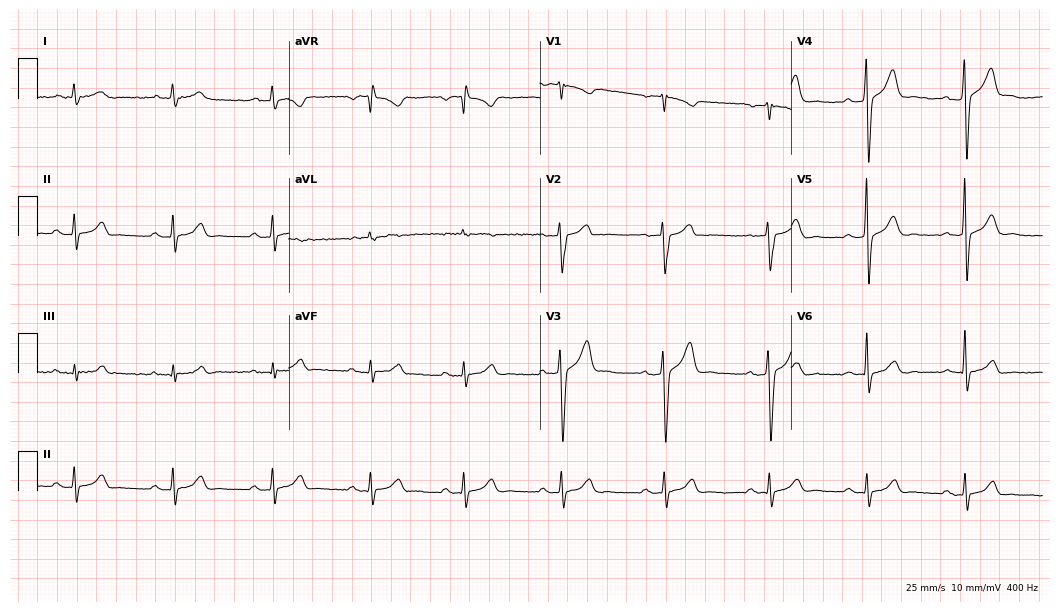
Standard 12-lead ECG recorded from a 45-year-old male patient (10.2-second recording at 400 Hz). Read as a normal ECG.